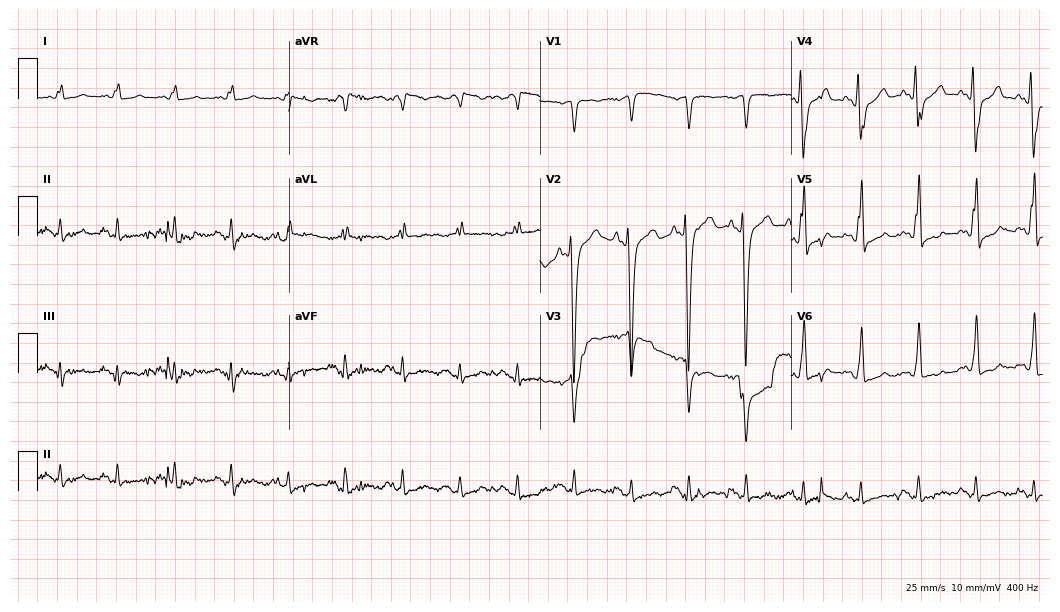
12-lead ECG (10.2-second recording at 400 Hz) from a 71-year-old man. Findings include sinus tachycardia (a sinus rate of 100 beats per minute or more).